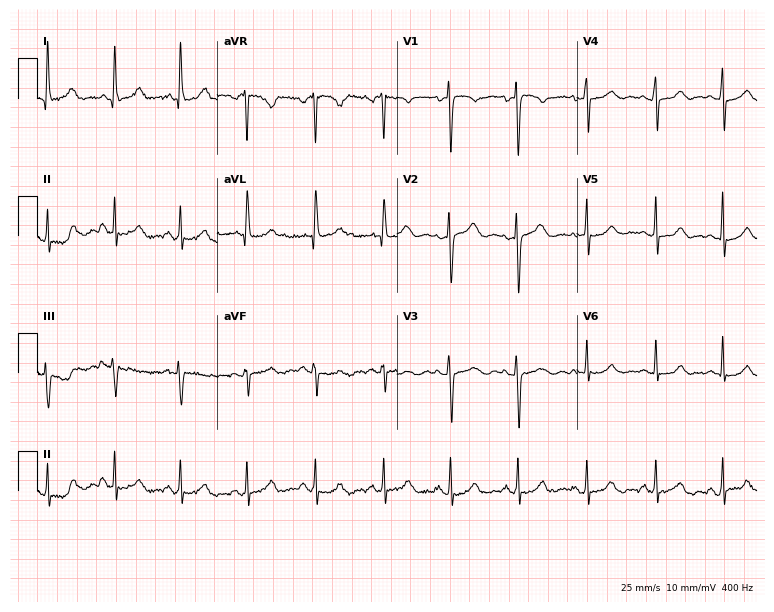
12-lead ECG from a female patient, 39 years old. Recorded interpretation: within normal limits.